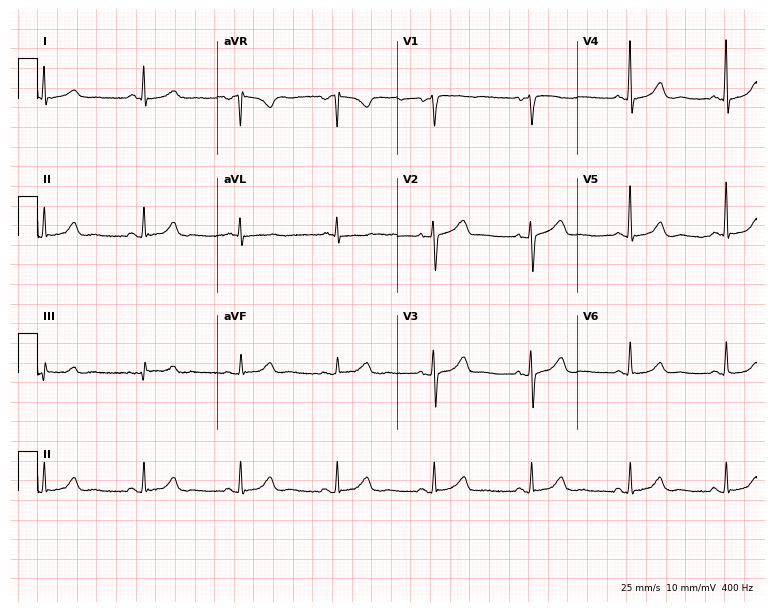
Standard 12-lead ECG recorded from a 63-year-old female patient (7.3-second recording at 400 Hz). Read as a normal ECG.